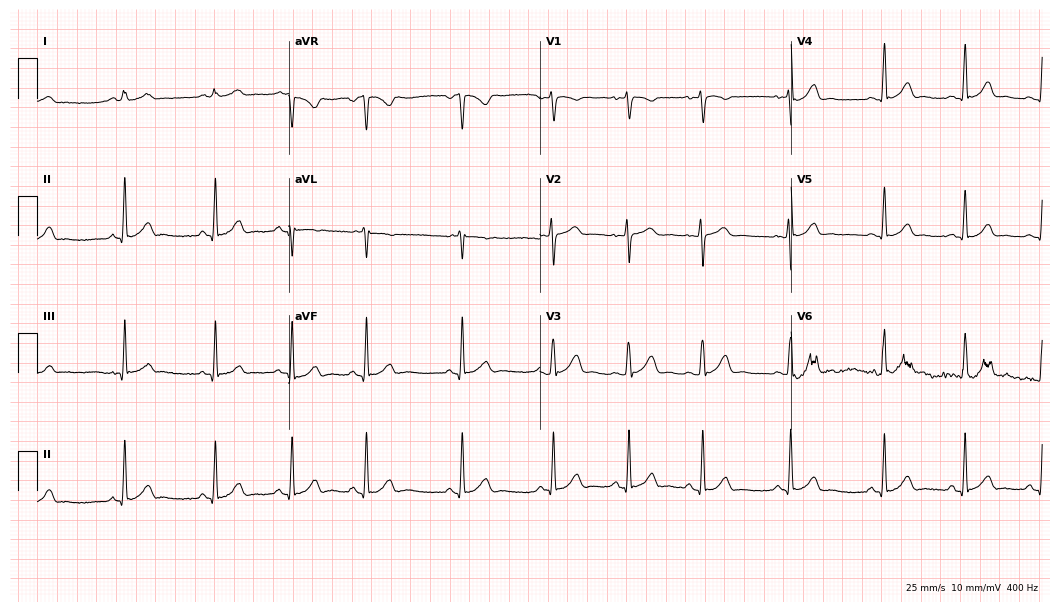
12-lead ECG from a woman, 19 years old (10.2-second recording at 400 Hz). Recorded interpretation: within normal limits.